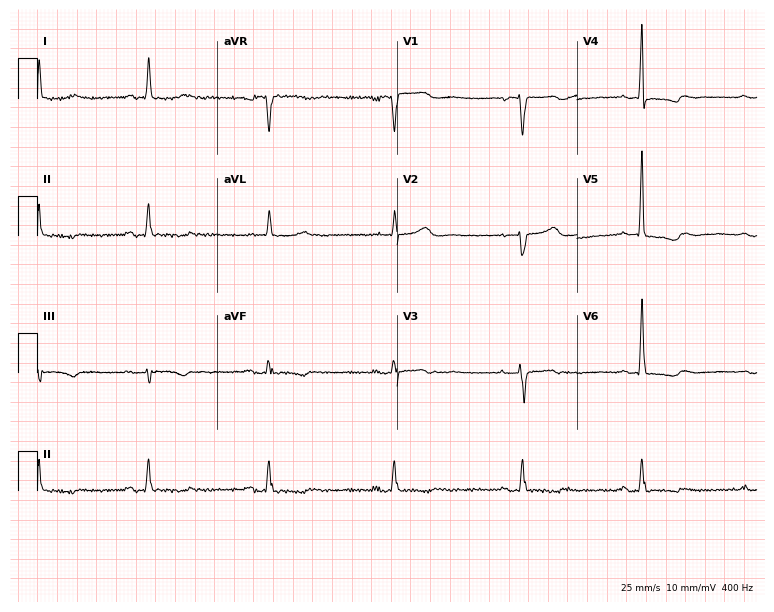
Electrocardiogram (7.3-second recording at 400 Hz), a female, 67 years old. Of the six screened findings (first-degree AV block, right bundle branch block (RBBB), left bundle branch block (LBBB), sinus bradycardia, atrial fibrillation (AF), sinus tachycardia), none is recorded. Other findings, if any, are not listed.